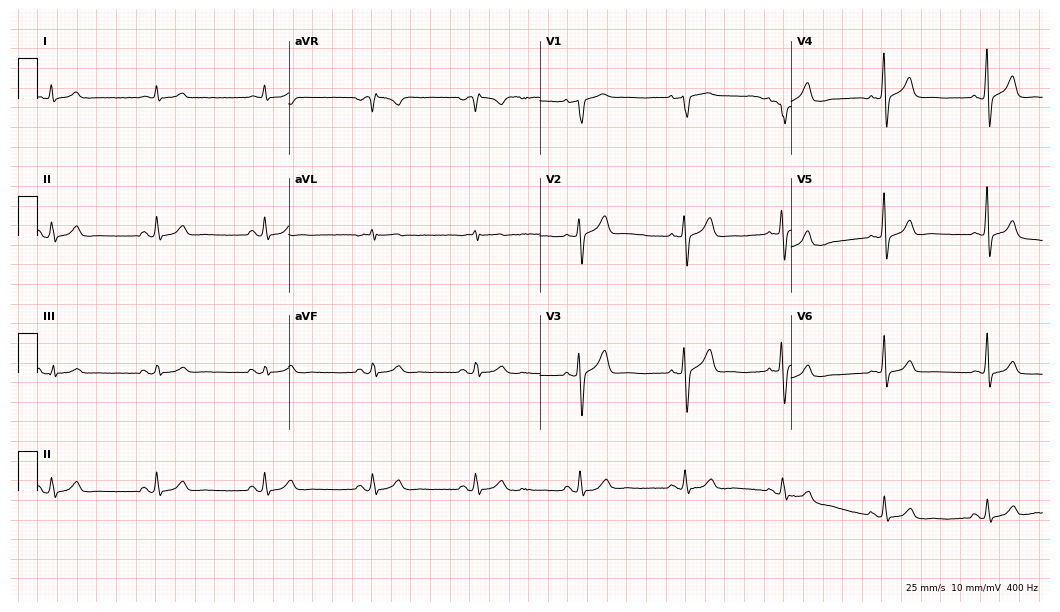
Electrocardiogram, a 57-year-old male. Overall reading on record: normal ECG.